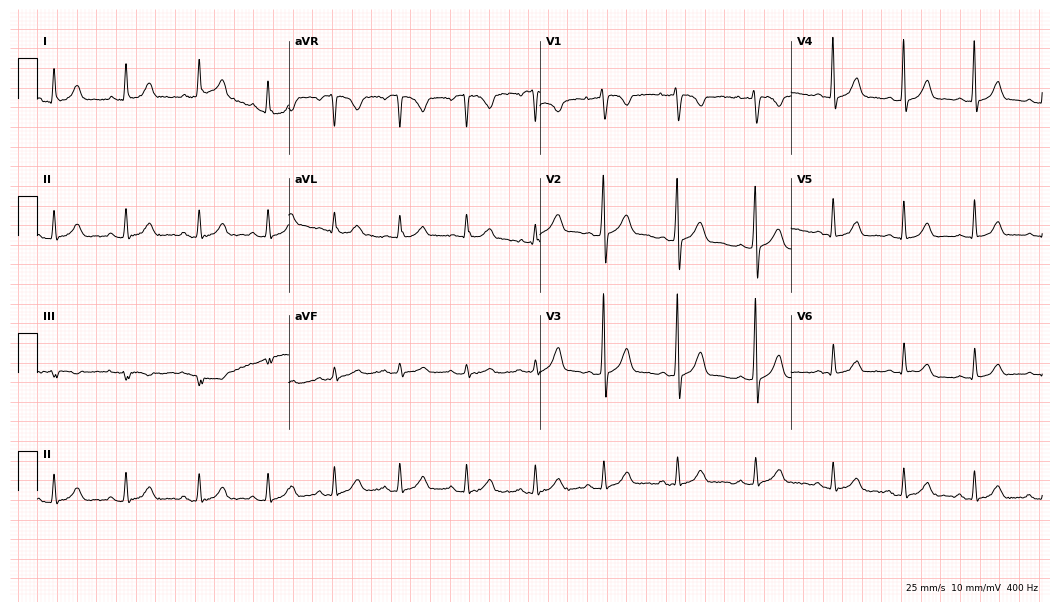
Resting 12-lead electrocardiogram (10.2-second recording at 400 Hz). Patient: a 33-year-old woman. Read as a normal ECG.